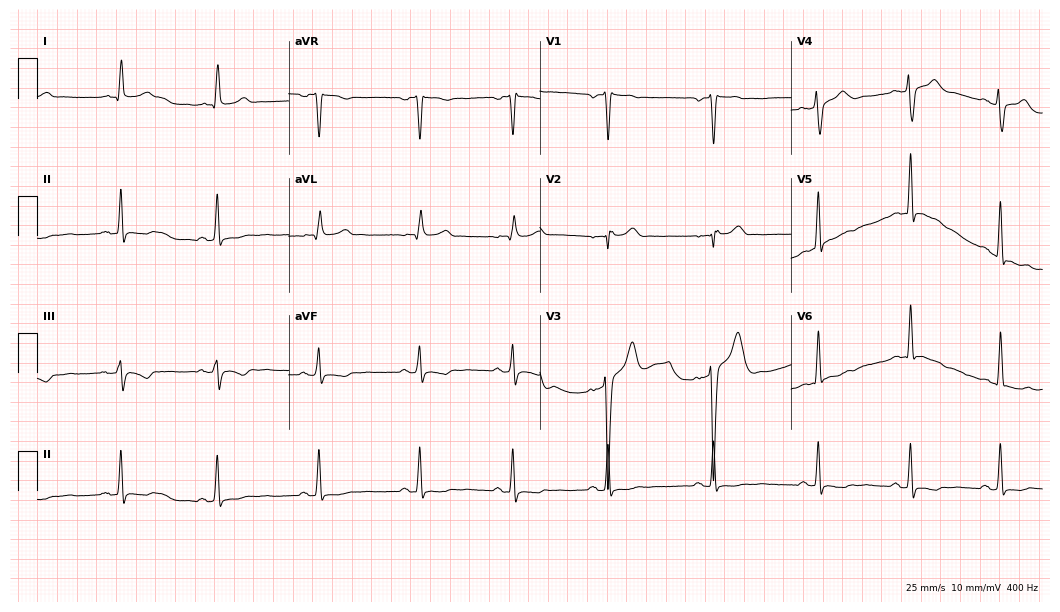
Standard 12-lead ECG recorded from a male, 45 years old. None of these six findings is recorded: first-degree AV block, right bundle branch block, left bundle branch block, sinus bradycardia, atrial fibrillation, sinus tachycardia. Other findings, if any, are not listed.